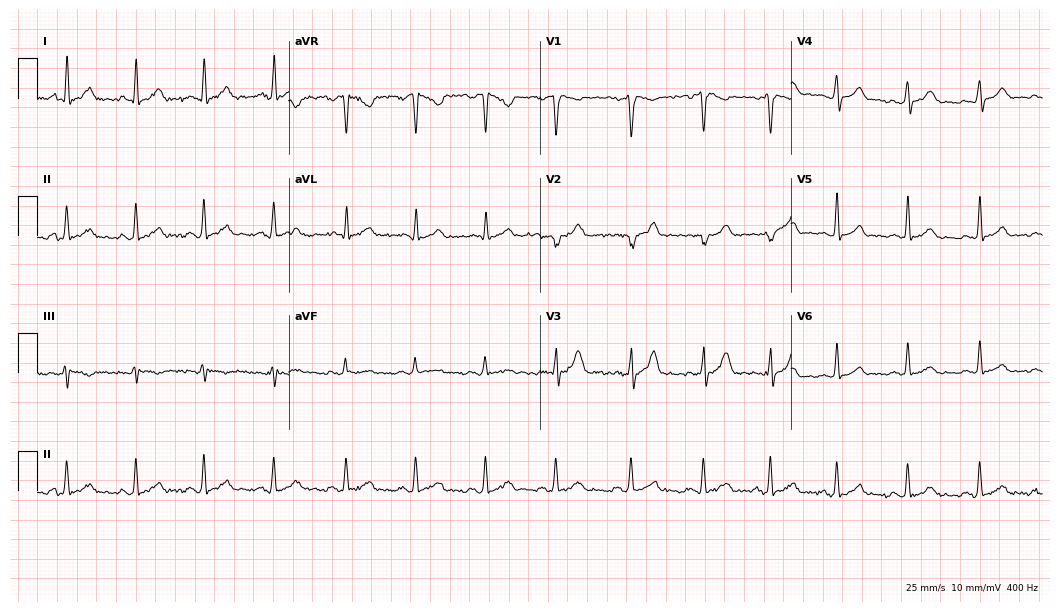
12-lead ECG from a male patient, 27 years old (10.2-second recording at 400 Hz). No first-degree AV block, right bundle branch block (RBBB), left bundle branch block (LBBB), sinus bradycardia, atrial fibrillation (AF) or sinus tachycardia recorded for this tracing. Other findings, if any, are not listed.